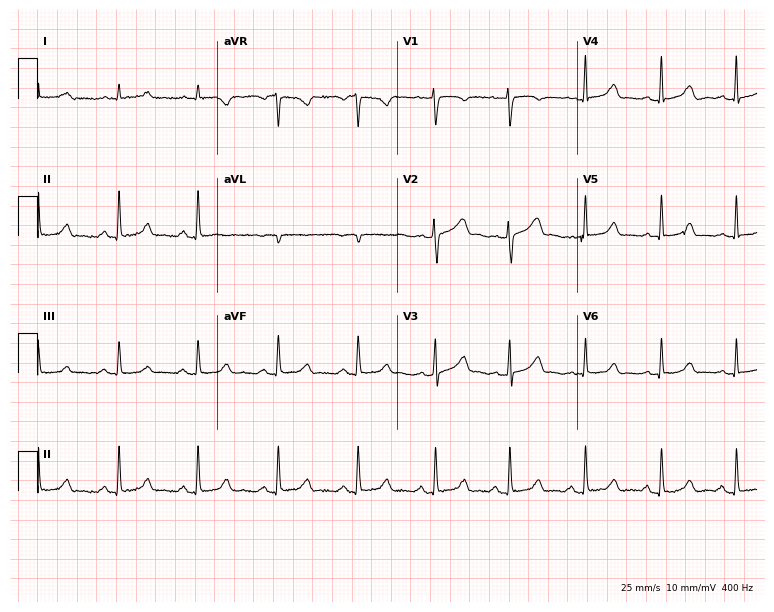
ECG — a 39-year-old female patient. Labelled as a normal ECG.